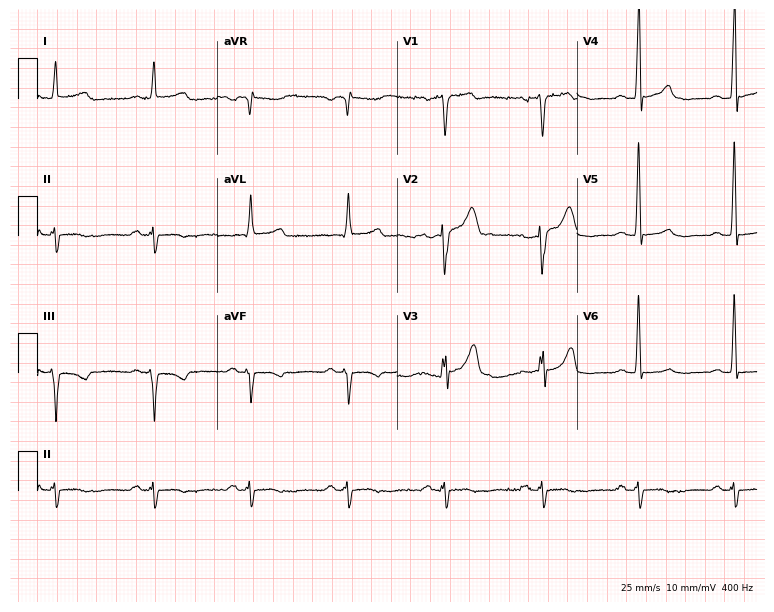
Standard 12-lead ECG recorded from a 66-year-old man (7.3-second recording at 400 Hz). None of these six findings is recorded: first-degree AV block, right bundle branch block (RBBB), left bundle branch block (LBBB), sinus bradycardia, atrial fibrillation (AF), sinus tachycardia. Only these six findings were labelled.